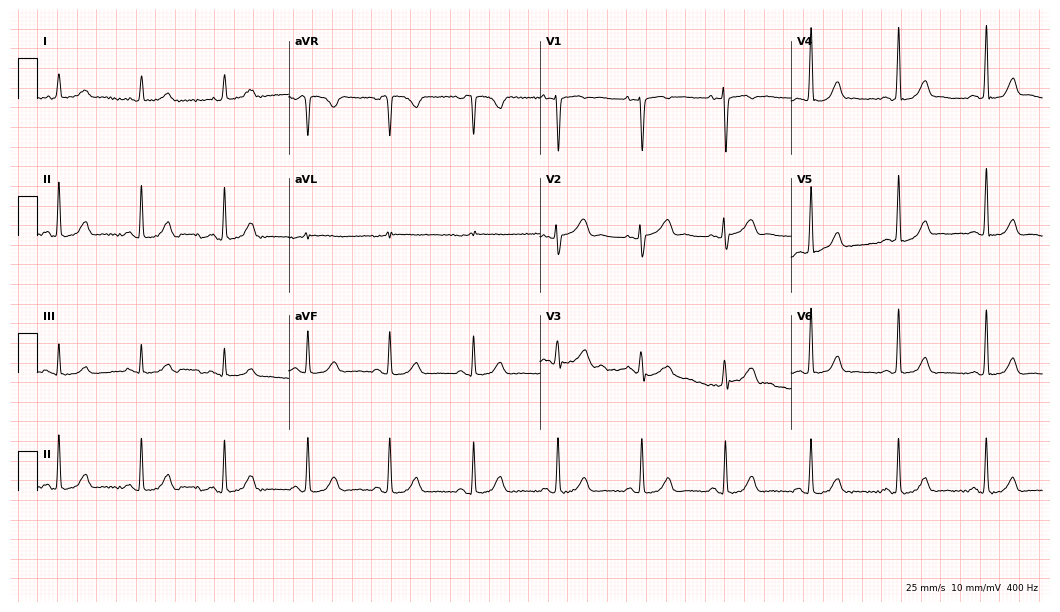
12-lead ECG (10.2-second recording at 400 Hz) from a 49-year-old female. Labelled as a normal ECG.